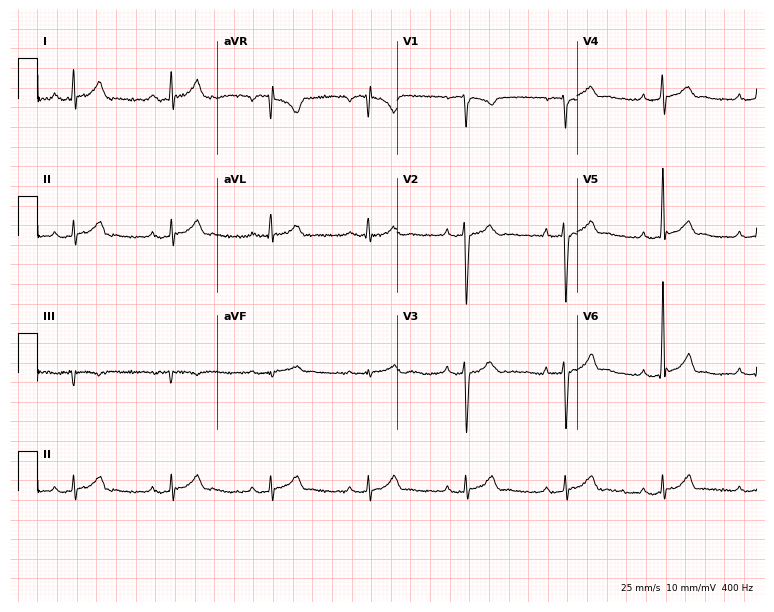
12-lead ECG from a man, 36 years old. Labelled as a normal ECG.